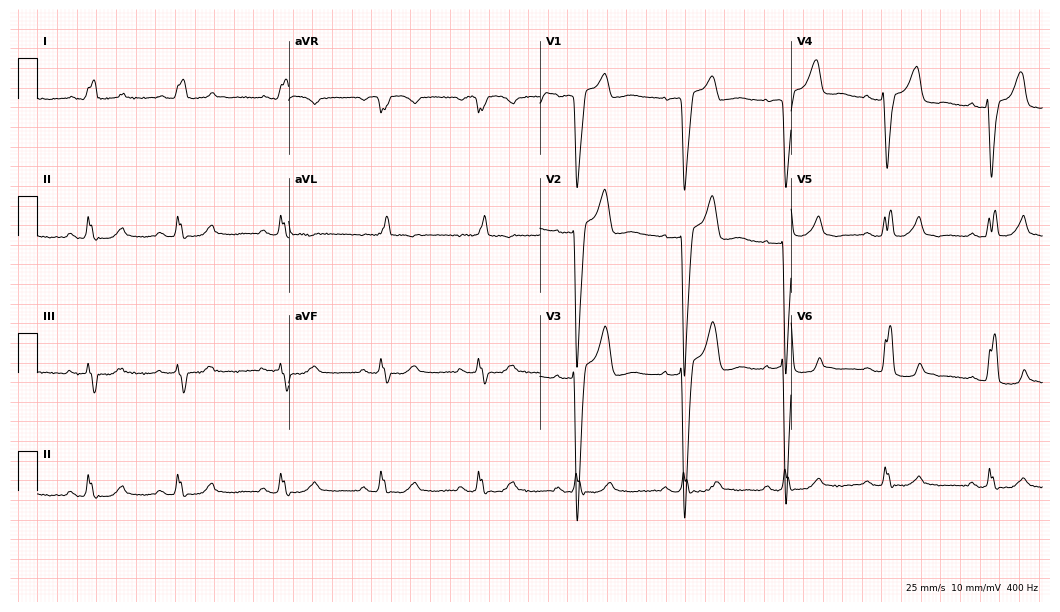
12-lead ECG from a 72-year-old male (10.2-second recording at 400 Hz). Shows left bundle branch block.